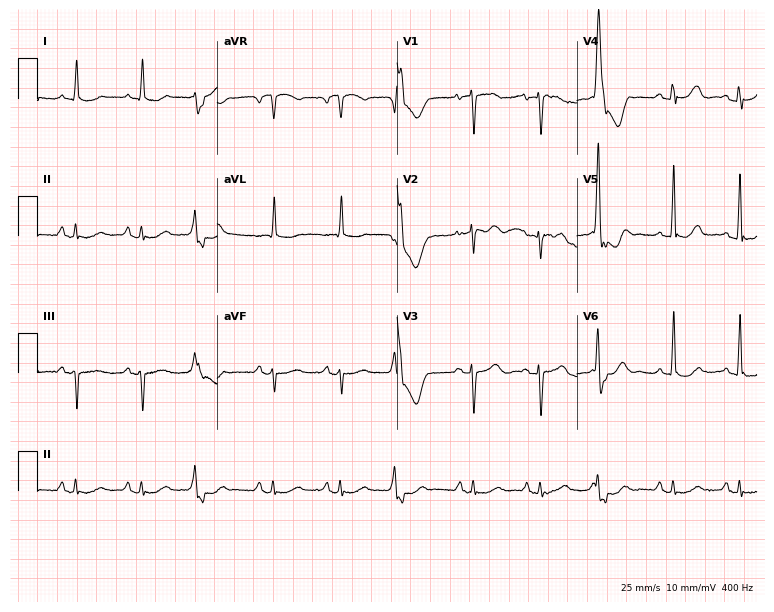
ECG — a 75-year-old woman. Screened for six findings — first-degree AV block, right bundle branch block, left bundle branch block, sinus bradycardia, atrial fibrillation, sinus tachycardia — none is recorded. Findings outside these six are not listed.